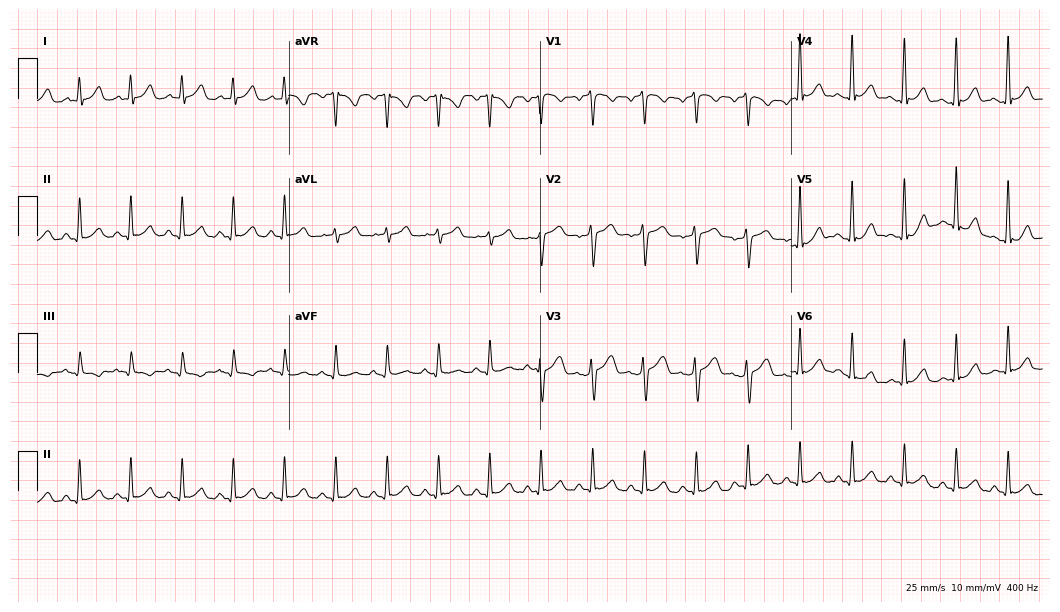
Resting 12-lead electrocardiogram. Patient: a male, 46 years old. The tracing shows sinus tachycardia (a sinus rate of 100 beats per minute or more).